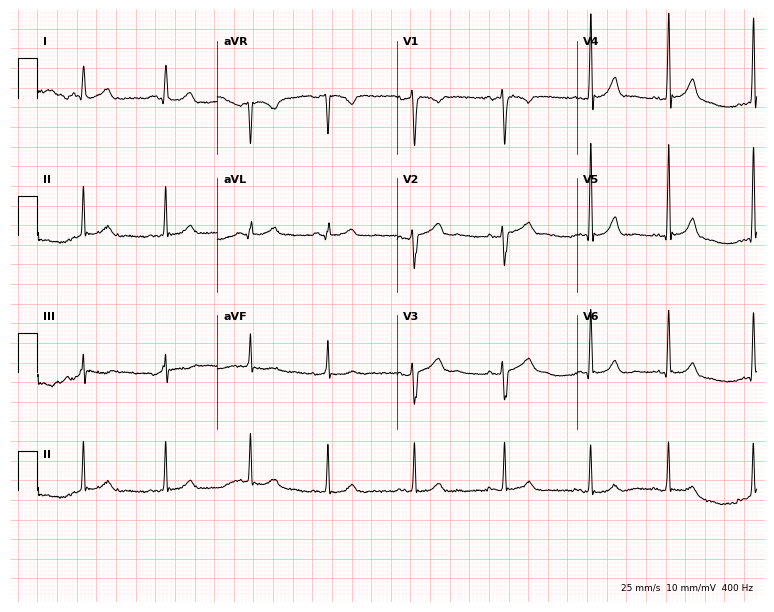
12-lead ECG from a 24-year-old woman (7.3-second recording at 400 Hz). No first-degree AV block, right bundle branch block (RBBB), left bundle branch block (LBBB), sinus bradycardia, atrial fibrillation (AF) or sinus tachycardia recorded for this tracing.